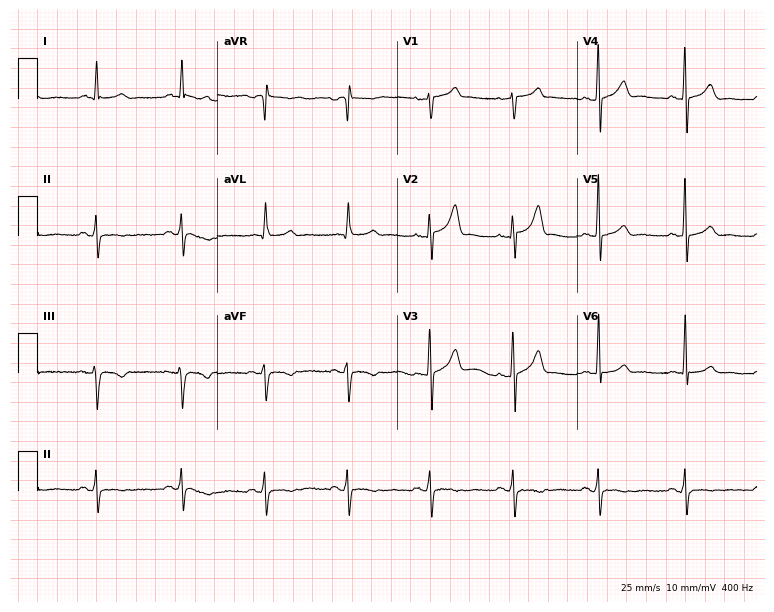
Standard 12-lead ECG recorded from a man, 42 years old (7.3-second recording at 400 Hz). None of these six findings is recorded: first-degree AV block, right bundle branch block, left bundle branch block, sinus bradycardia, atrial fibrillation, sinus tachycardia.